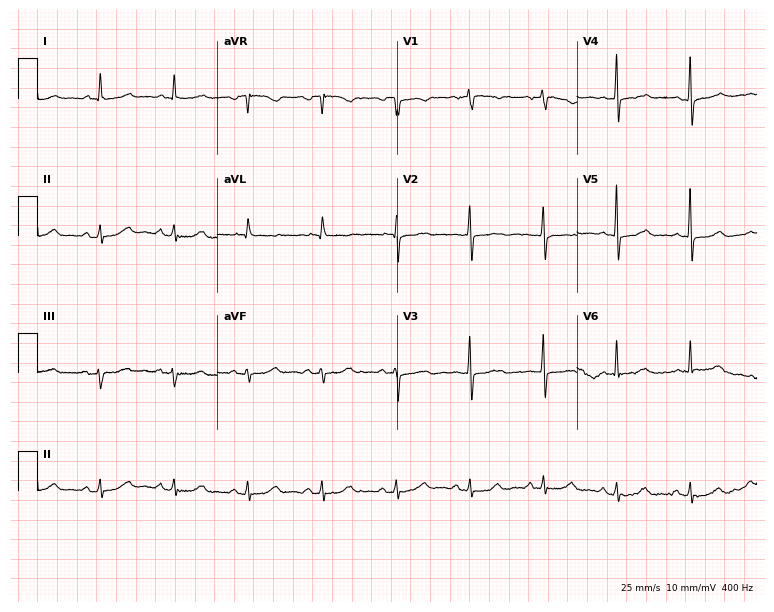
Standard 12-lead ECG recorded from a 67-year-old female patient (7.3-second recording at 400 Hz). None of these six findings is recorded: first-degree AV block, right bundle branch block, left bundle branch block, sinus bradycardia, atrial fibrillation, sinus tachycardia. Findings outside these six are not listed.